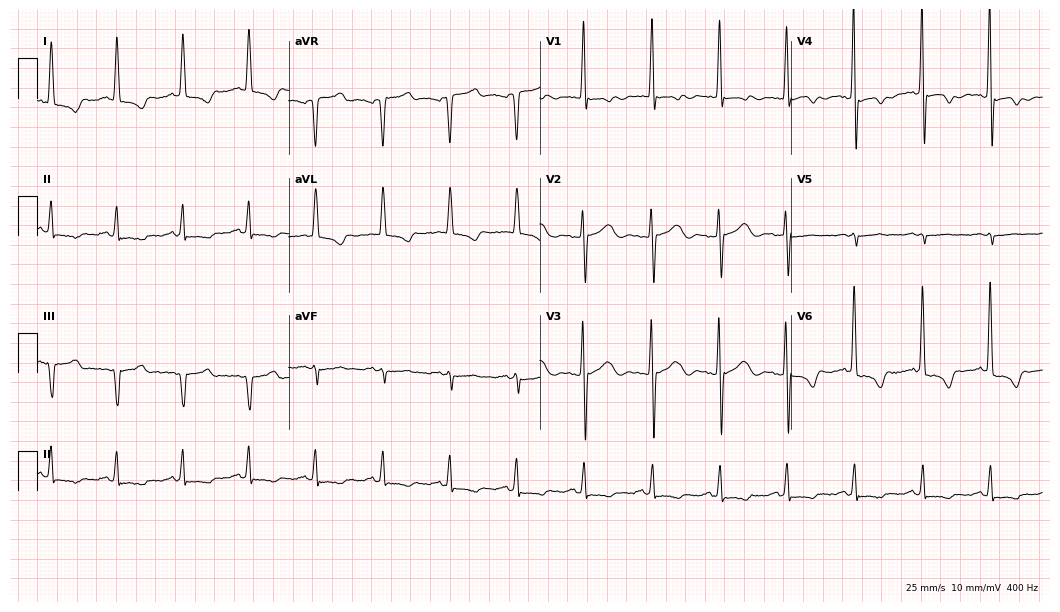
Electrocardiogram, a male patient, 85 years old. Of the six screened findings (first-degree AV block, right bundle branch block, left bundle branch block, sinus bradycardia, atrial fibrillation, sinus tachycardia), none is recorded. Only these six findings were labelled.